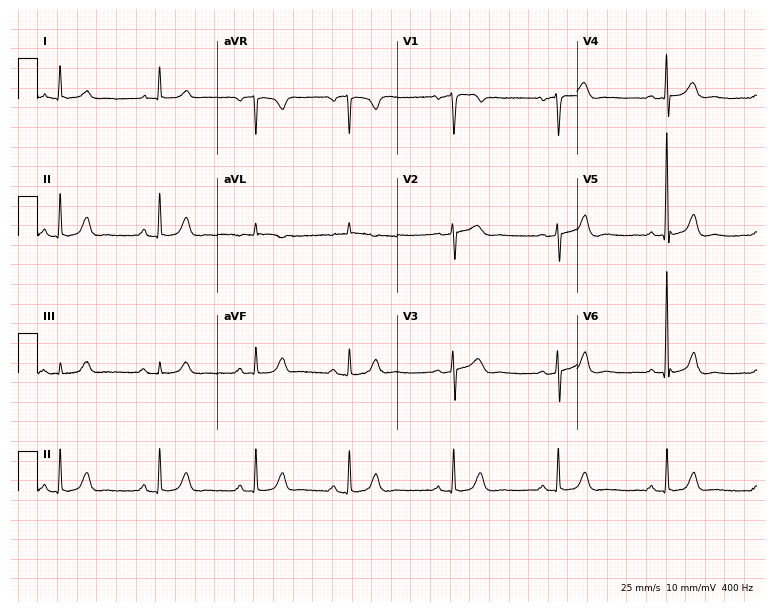
Standard 12-lead ECG recorded from a male patient, 76 years old (7.3-second recording at 400 Hz). None of these six findings is recorded: first-degree AV block, right bundle branch block, left bundle branch block, sinus bradycardia, atrial fibrillation, sinus tachycardia. Other findings, if any, are not listed.